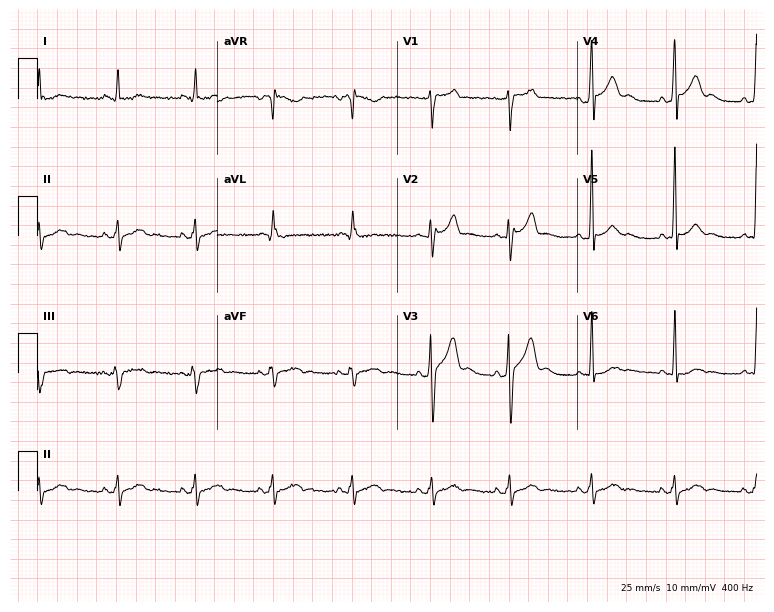
12-lead ECG (7.3-second recording at 400 Hz) from a 37-year-old man. Labelled as a normal ECG.